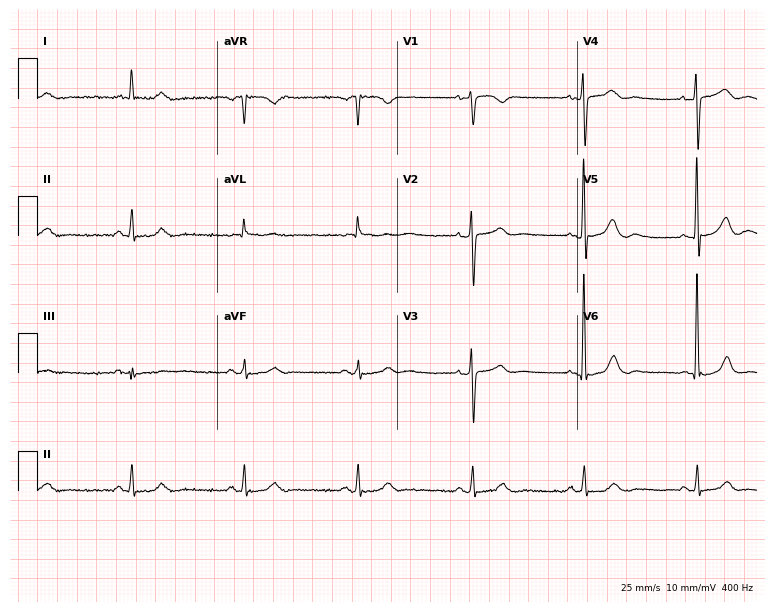
ECG — a male, 82 years old. Screened for six findings — first-degree AV block, right bundle branch block, left bundle branch block, sinus bradycardia, atrial fibrillation, sinus tachycardia — none is recorded. Findings outside these six are not listed.